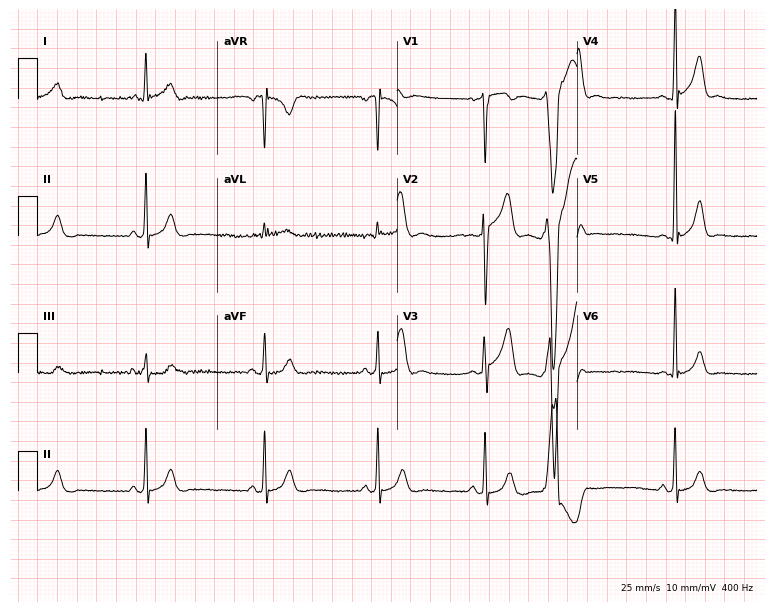
12-lead ECG (7.3-second recording at 400 Hz) from a male, 19 years old. Screened for six findings — first-degree AV block, right bundle branch block (RBBB), left bundle branch block (LBBB), sinus bradycardia, atrial fibrillation (AF), sinus tachycardia — none is recorded. Other findings, if any, are not listed.